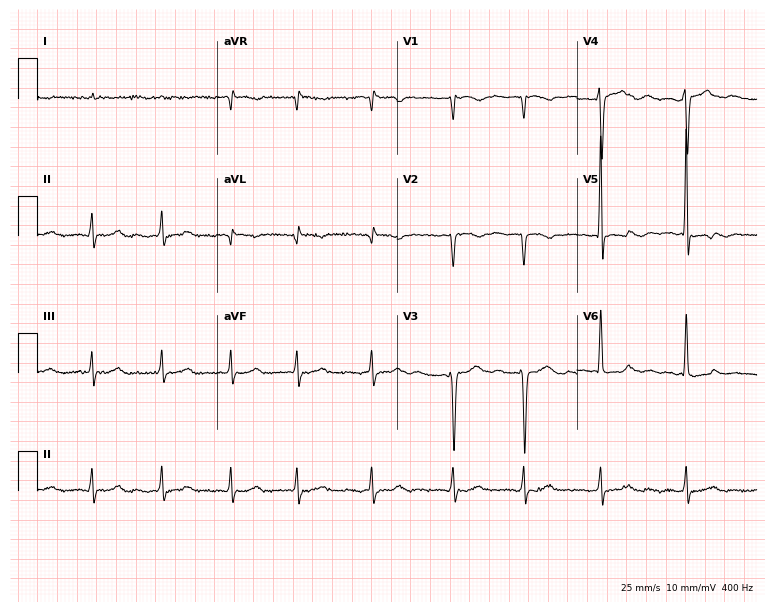
12-lead ECG from a female patient, 77 years old. Screened for six findings — first-degree AV block, right bundle branch block, left bundle branch block, sinus bradycardia, atrial fibrillation, sinus tachycardia — none is recorded. Only these six findings were labelled.